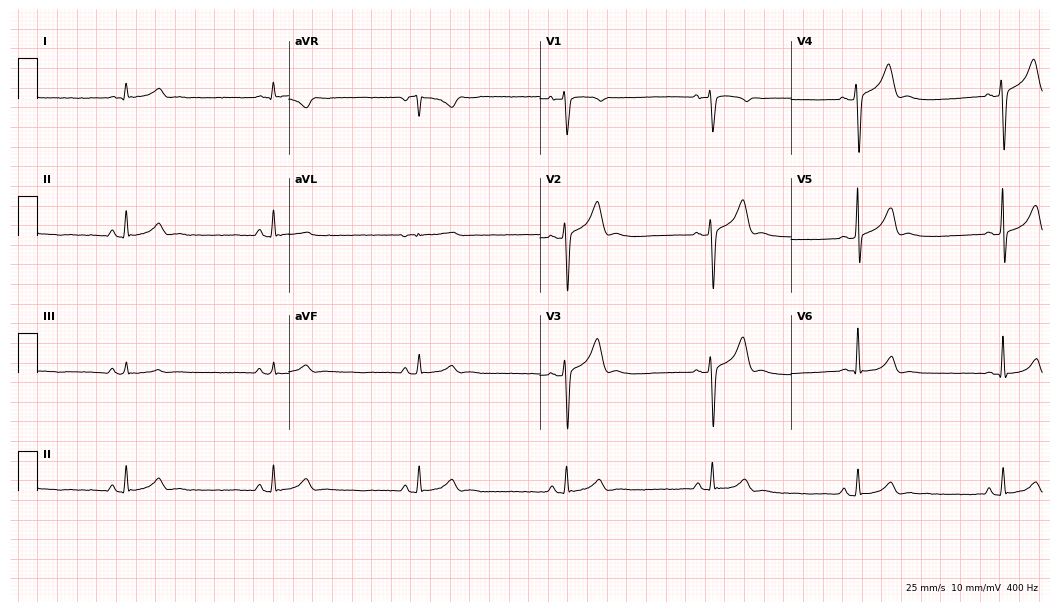
Standard 12-lead ECG recorded from a man, 42 years old (10.2-second recording at 400 Hz). The tracing shows sinus bradycardia (a sinus rate of 50 beats per minute or less).